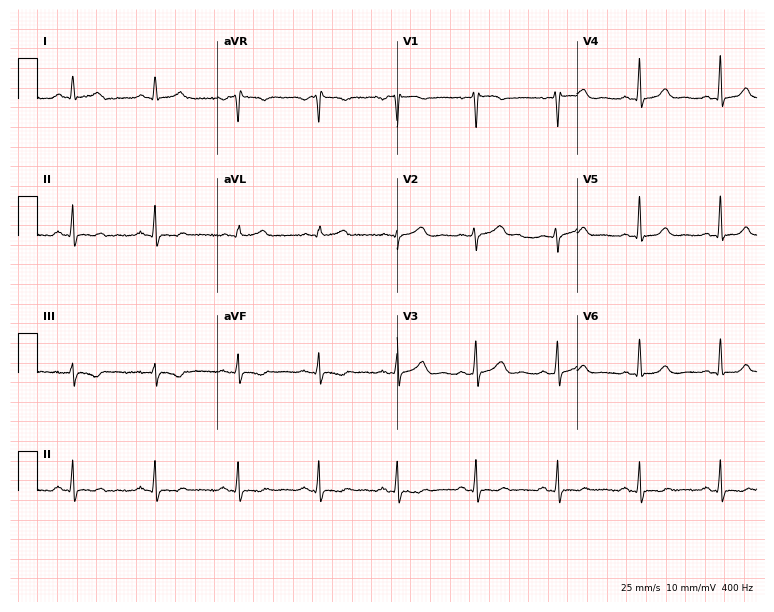
Electrocardiogram (7.3-second recording at 400 Hz), a female, 40 years old. Of the six screened findings (first-degree AV block, right bundle branch block, left bundle branch block, sinus bradycardia, atrial fibrillation, sinus tachycardia), none is recorded.